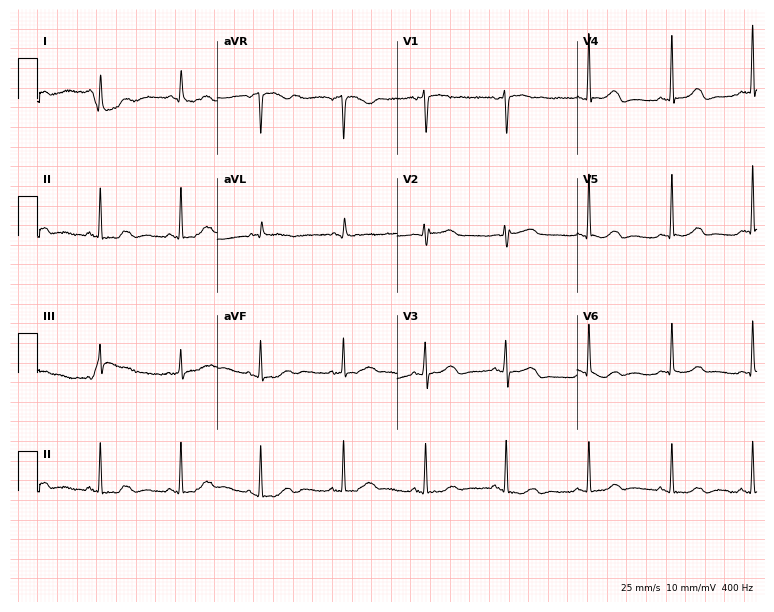
Electrocardiogram (7.3-second recording at 400 Hz), a female, 85 years old. Overall reading on record: normal ECG.